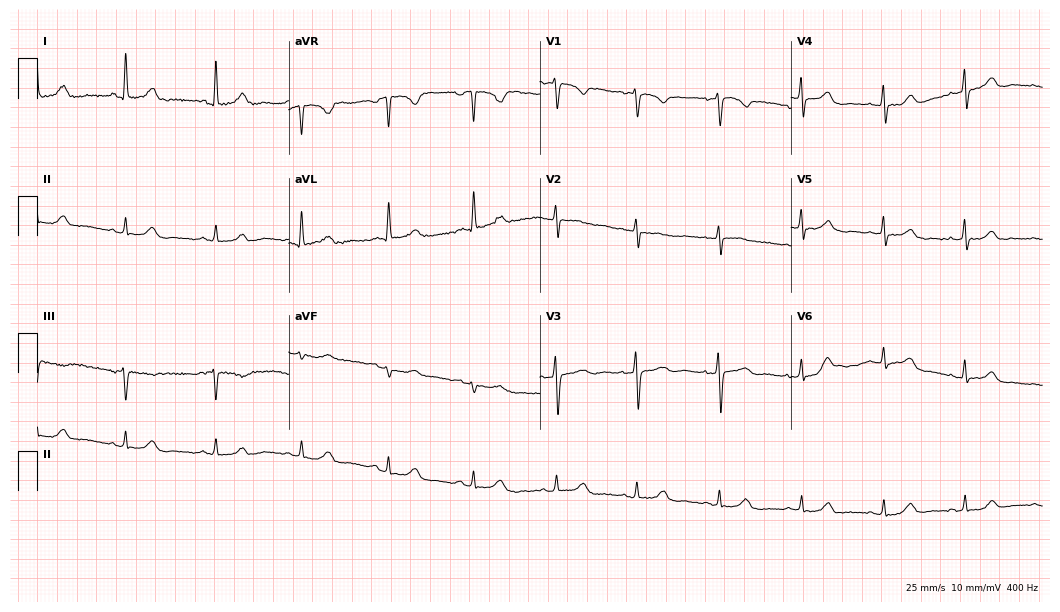
12-lead ECG from a female, 75 years old. Screened for six findings — first-degree AV block, right bundle branch block (RBBB), left bundle branch block (LBBB), sinus bradycardia, atrial fibrillation (AF), sinus tachycardia — none is recorded.